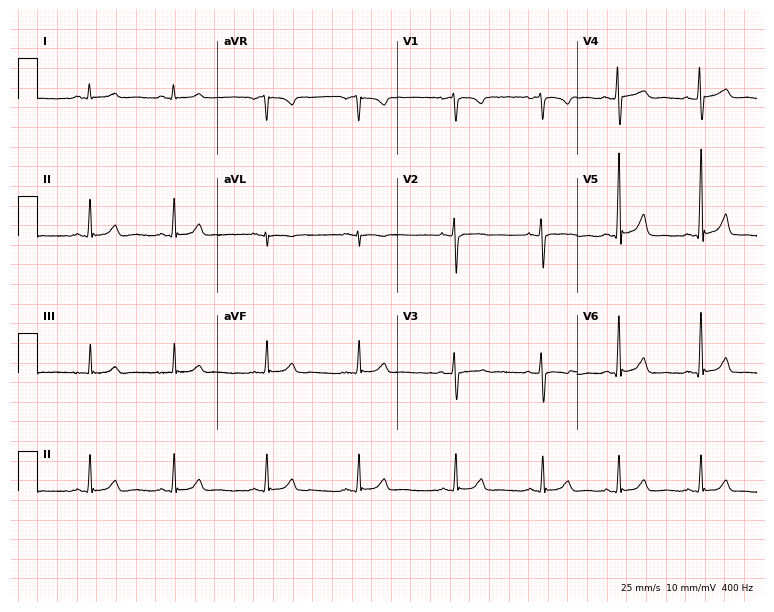
12-lead ECG from a female, 25 years old (7.3-second recording at 400 Hz). Recorded interpretation: within normal limits.